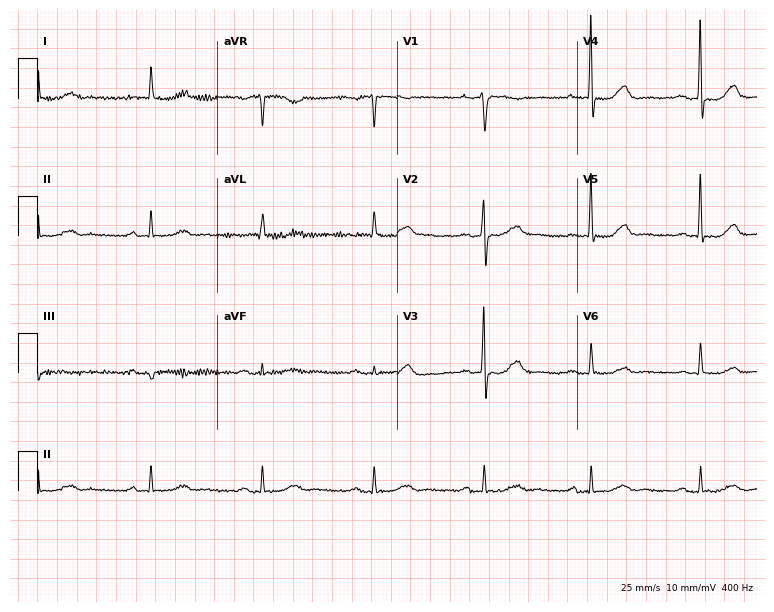
ECG — a 64-year-old female patient. Findings include first-degree AV block.